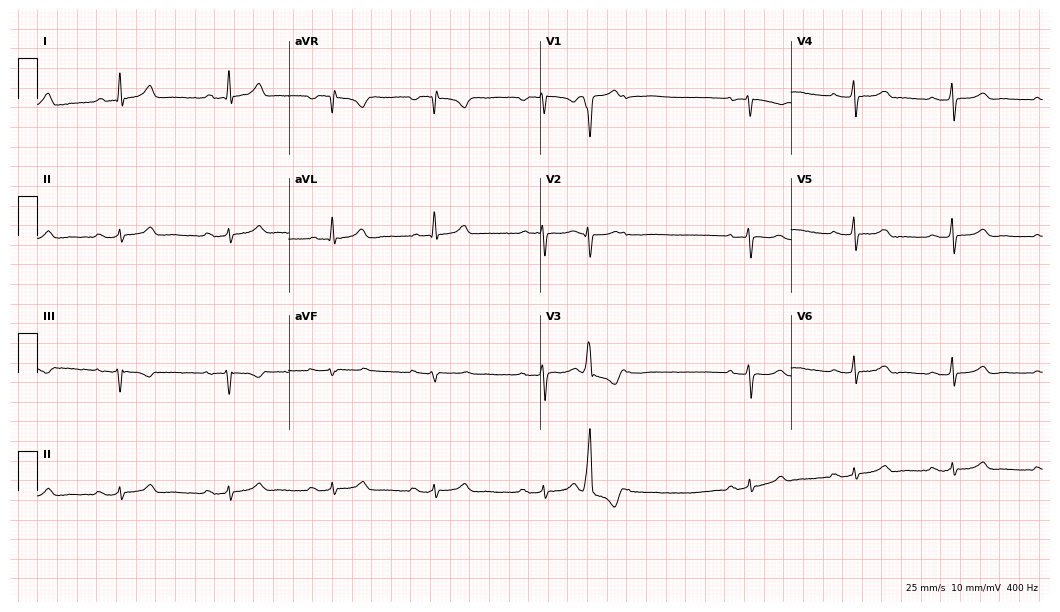
12-lead ECG (10.2-second recording at 400 Hz) from a woman, 56 years old. Screened for six findings — first-degree AV block, right bundle branch block, left bundle branch block, sinus bradycardia, atrial fibrillation, sinus tachycardia — none is recorded. Only these six findings were labelled.